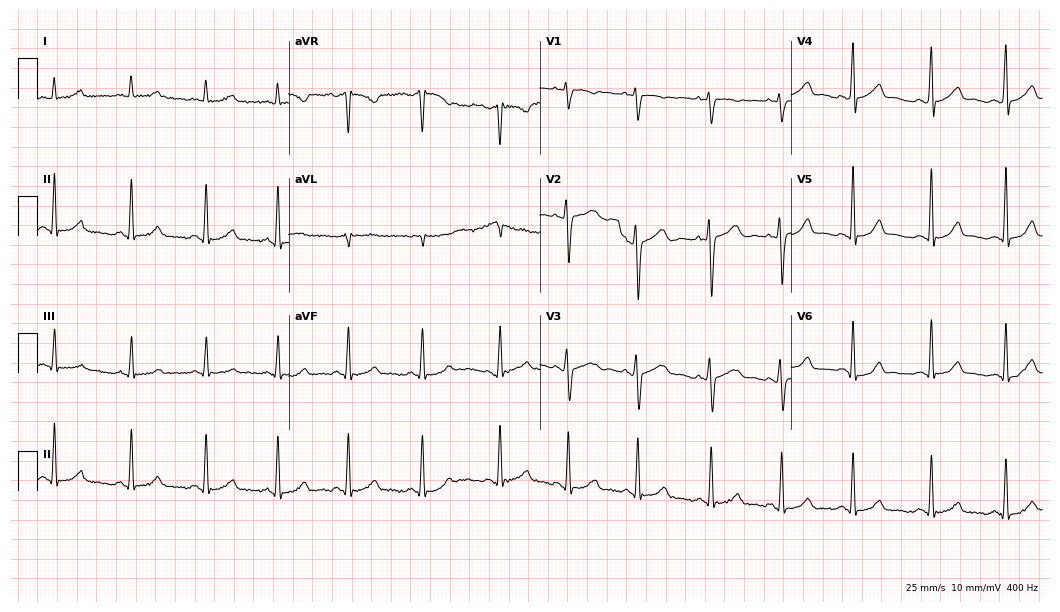
ECG — a 24-year-old woman. Labelled as a normal ECG.